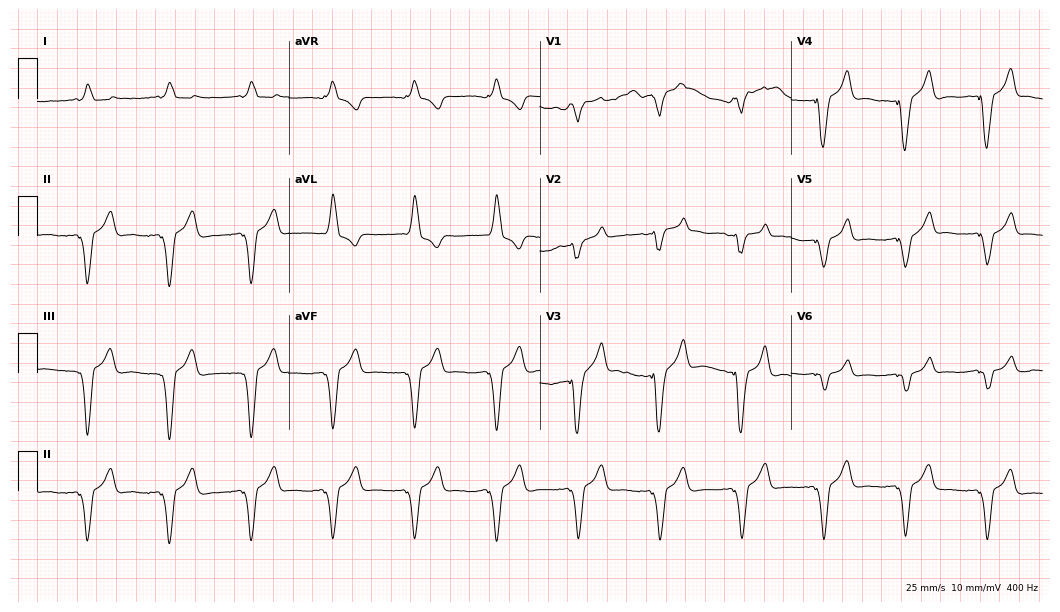
12-lead ECG from a male patient, 59 years old (10.2-second recording at 400 Hz). No first-degree AV block, right bundle branch block, left bundle branch block, sinus bradycardia, atrial fibrillation or sinus tachycardia recorded for this tracing. Only these six findings were labelled.